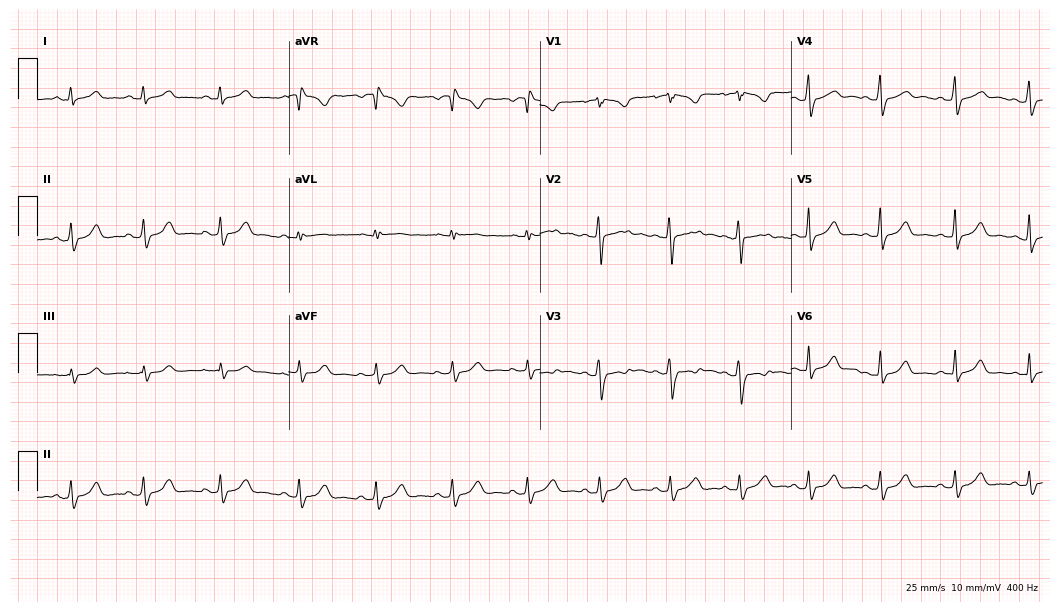
Resting 12-lead electrocardiogram (10.2-second recording at 400 Hz). Patient: a female, 25 years old. Read as a normal ECG.